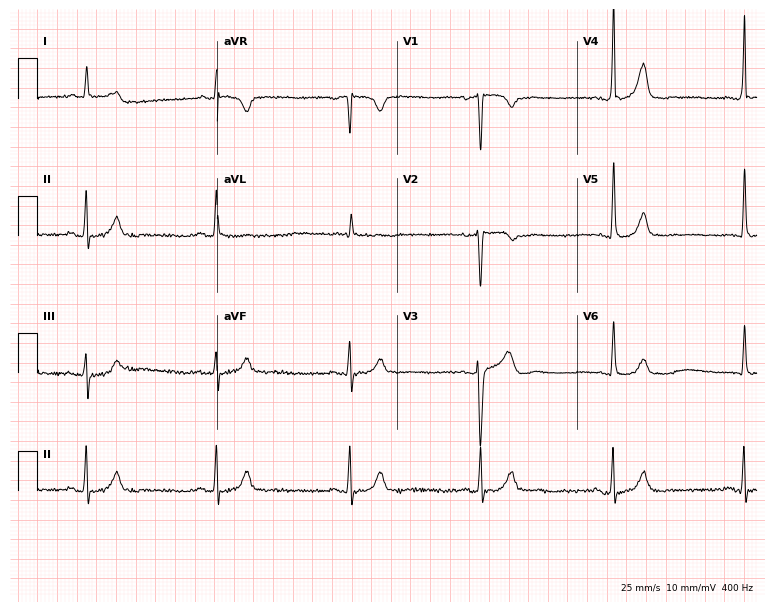
12-lead ECG (7.3-second recording at 400 Hz) from a male, 68 years old. Findings include sinus bradycardia (a sinus rate of 50 beats per minute or less).